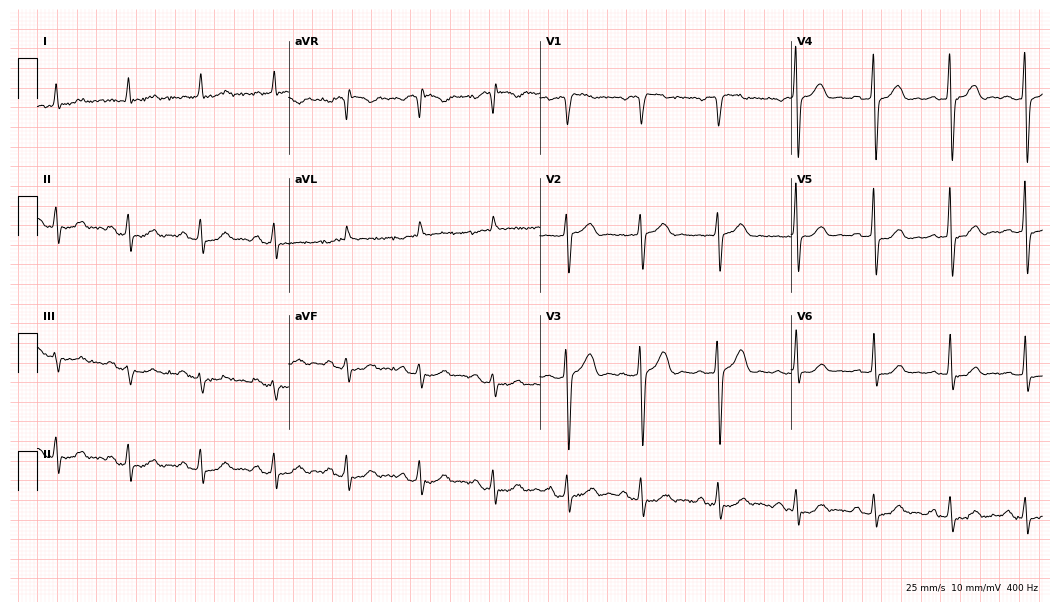
Electrocardiogram (10.2-second recording at 400 Hz), a male patient, 63 years old. Overall reading on record: normal ECG.